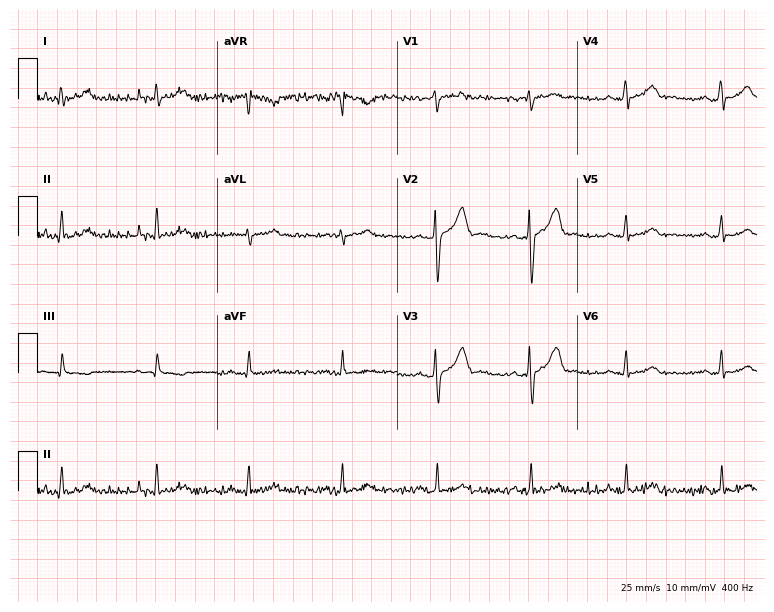
Standard 12-lead ECG recorded from a man, 58 years old (7.3-second recording at 400 Hz). Read as a normal ECG.